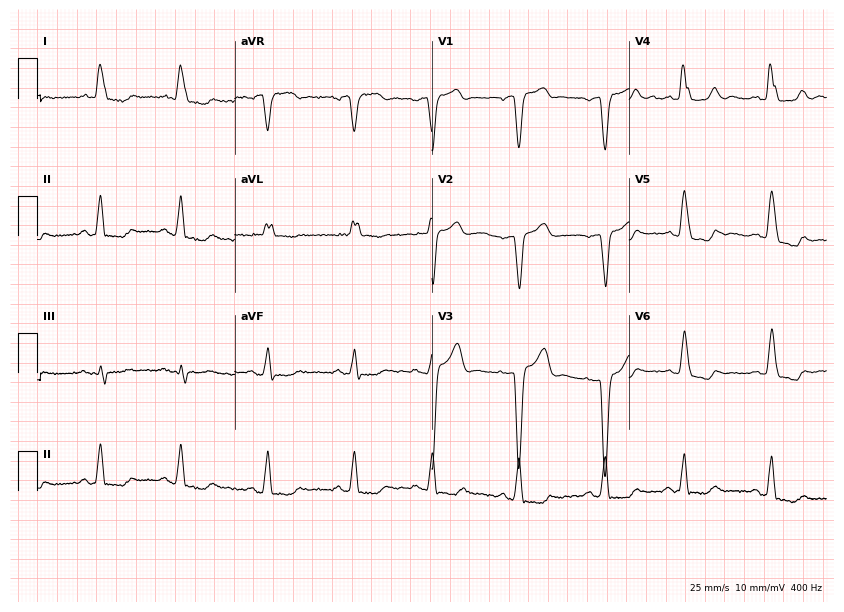
ECG — a female, 85 years old. Findings include left bundle branch block.